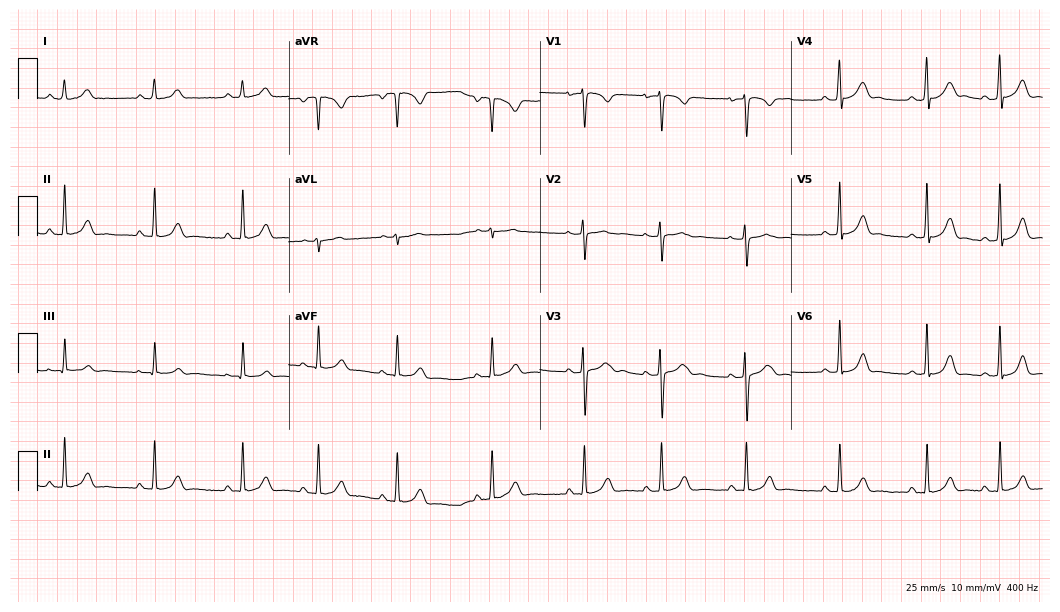
12-lead ECG from a 17-year-old female. Recorded interpretation: within normal limits.